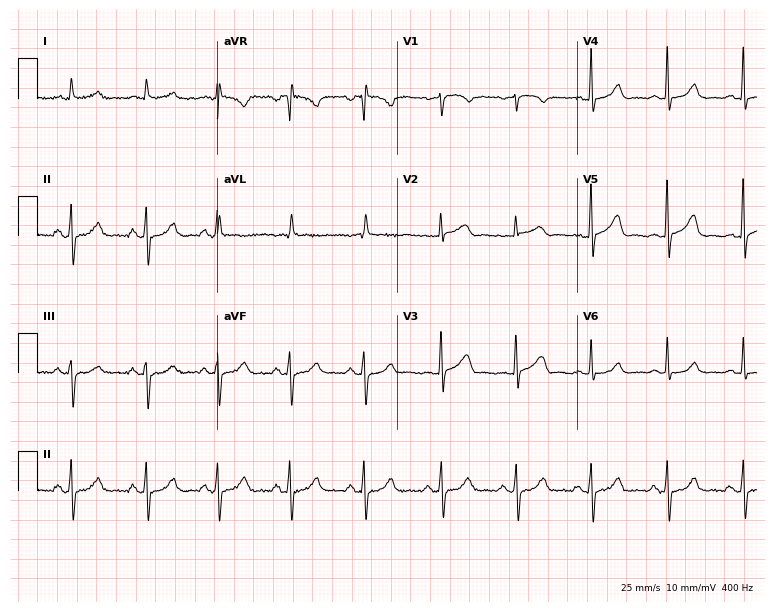
12-lead ECG (7.3-second recording at 400 Hz) from a woman, 57 years old. Screened for six findings — first-degree AV block, right bundle branch block (RBBB), left bundle branch block (LBBB), sinus bradycardia, atrial fibrillation (AF), sinus tachycardia — none is recorded.